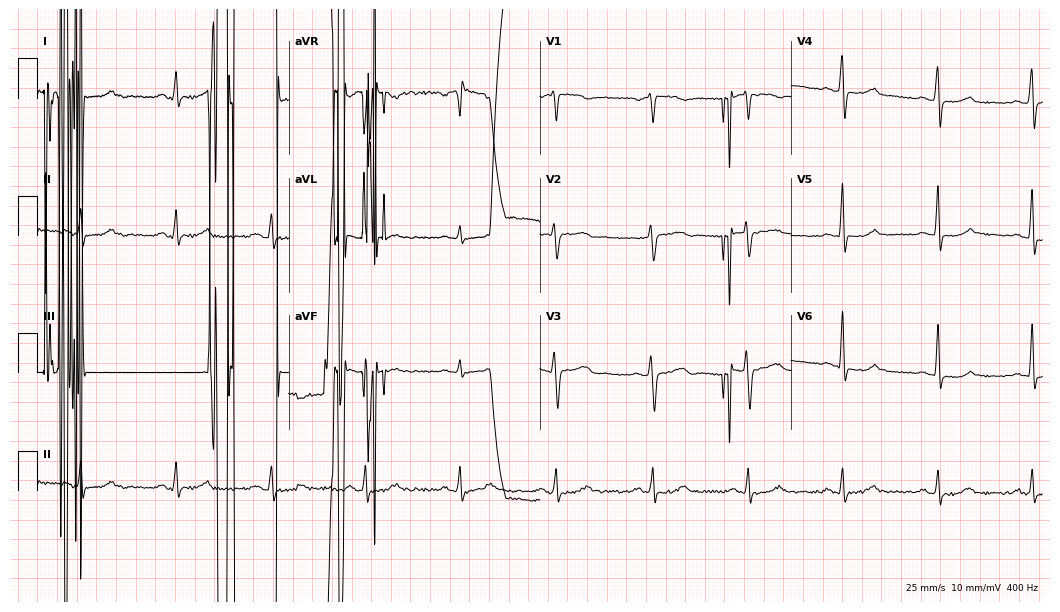
12-lead ECG from a woman, 59 years old. Recorded interpretation: within normal limits.